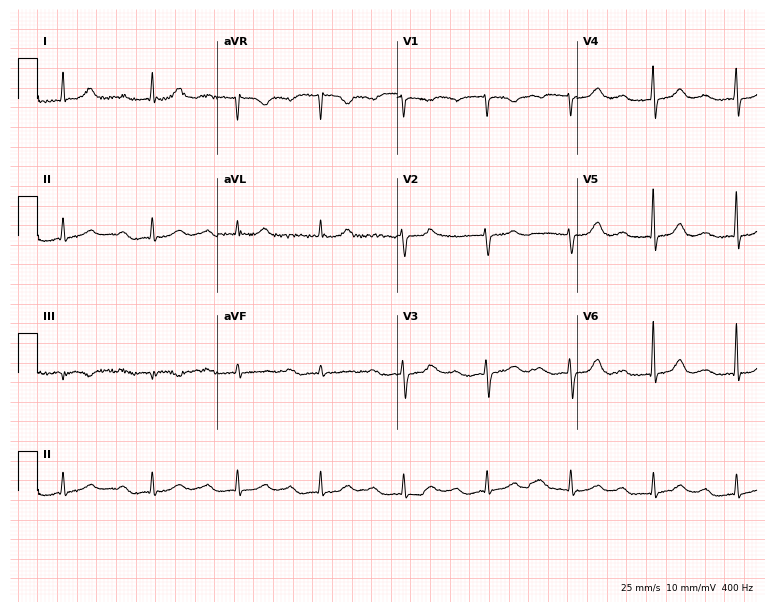
12-lead ECG from a female, 80 years old. Labelled as a normal ECG.